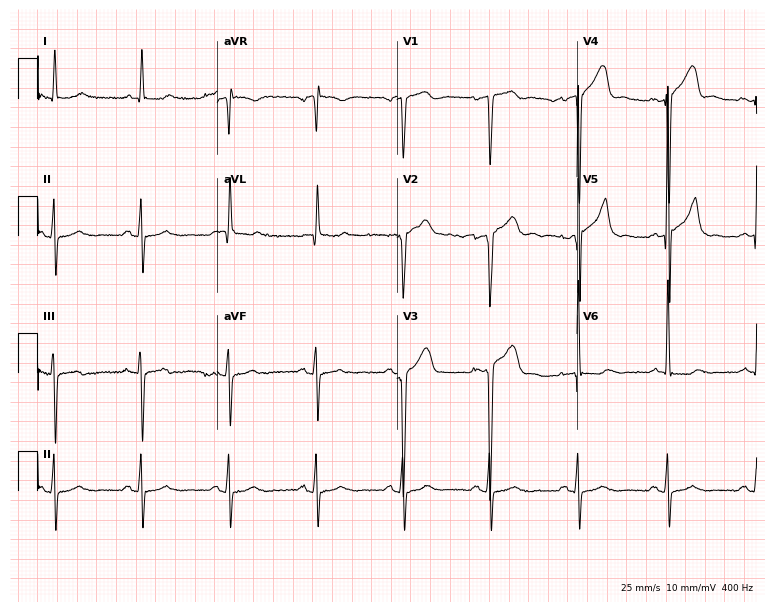
ECG — a male patient, 64 years old. Screened for six findings — first-degree AV block, right bundle branch block, left bundle branch block, sinus bradycardia, atrial fibrillation, sinus tachycardia — none is recorded.